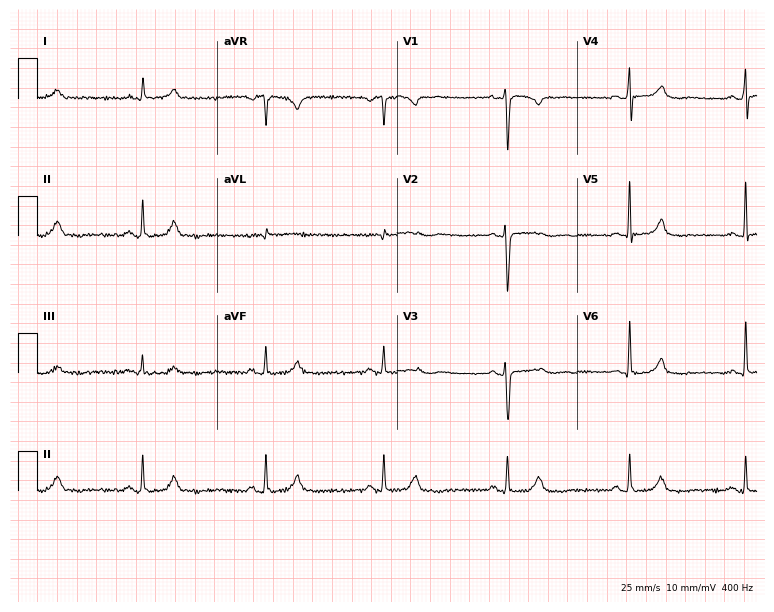
ECG — a 54-year-old woman. Findings include sinus bradycardia (a sinus rate of 50 beats per minute or less).